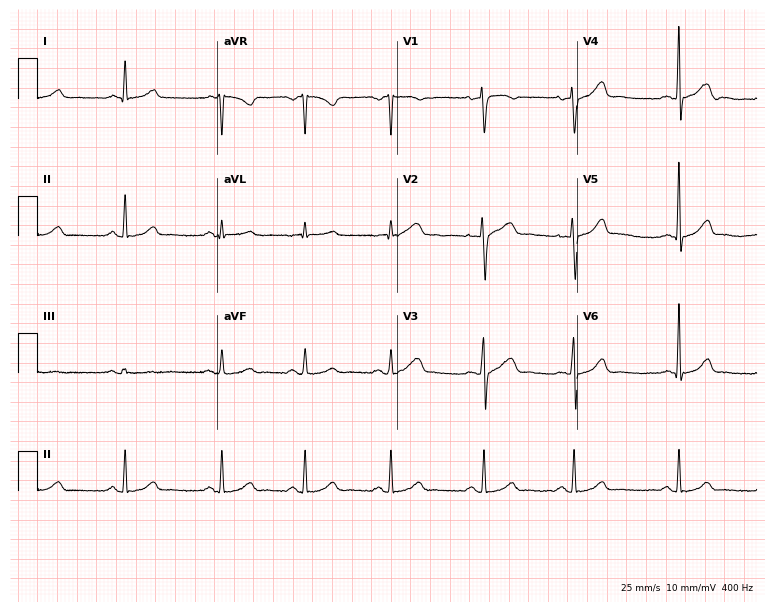
Electrocardiogram, a female, 35 years old. Overall reading on record: normal ECG.